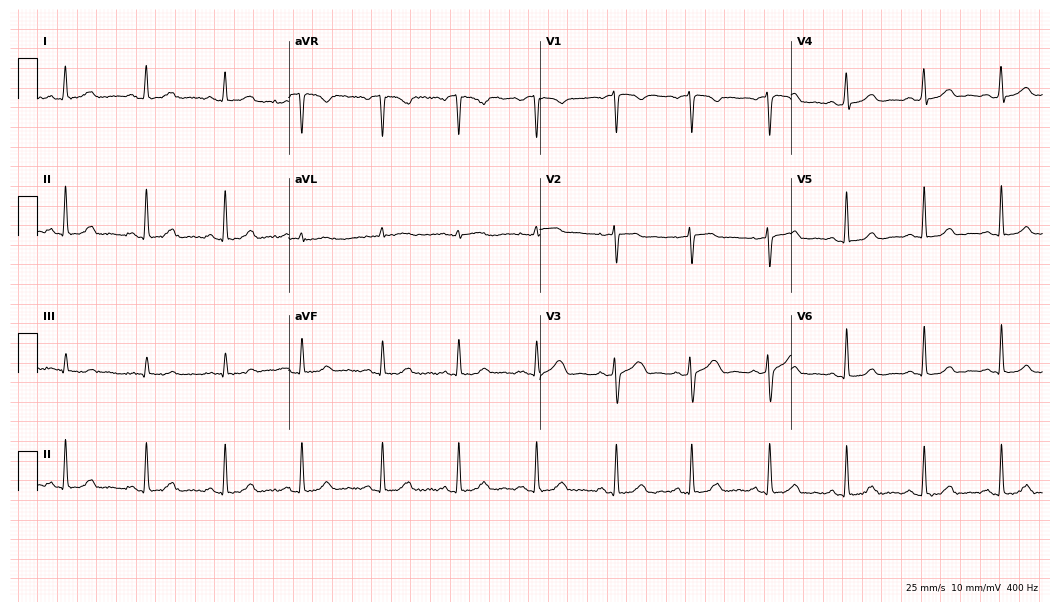
Electrocardiogram, a female patient, 44 years old. Overall reading on record: normal ECG.